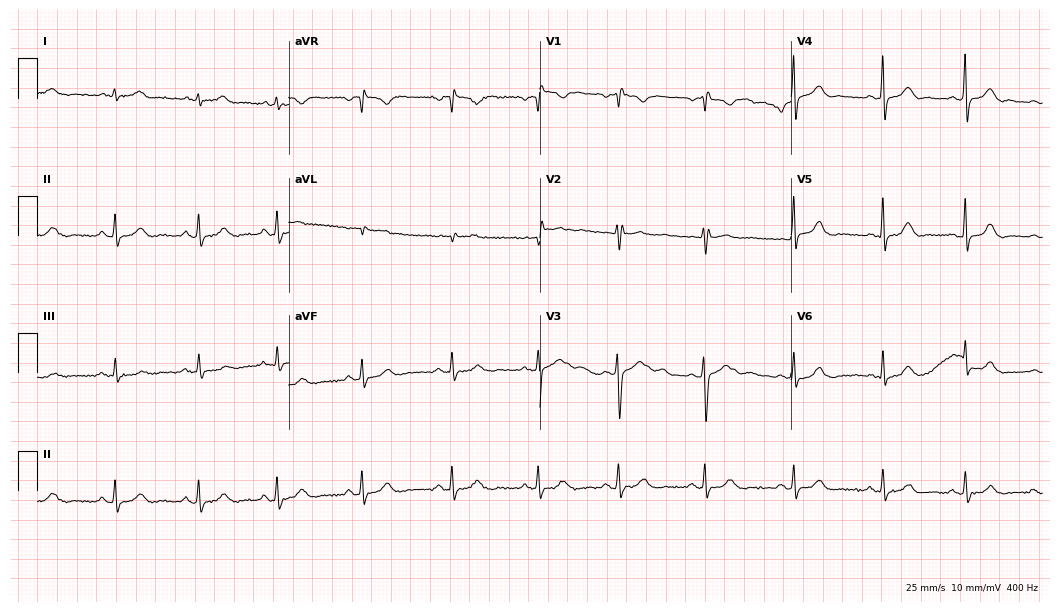
Electrocardiogram, a woman, 27 years old. Overall reading on record: normal ECG.